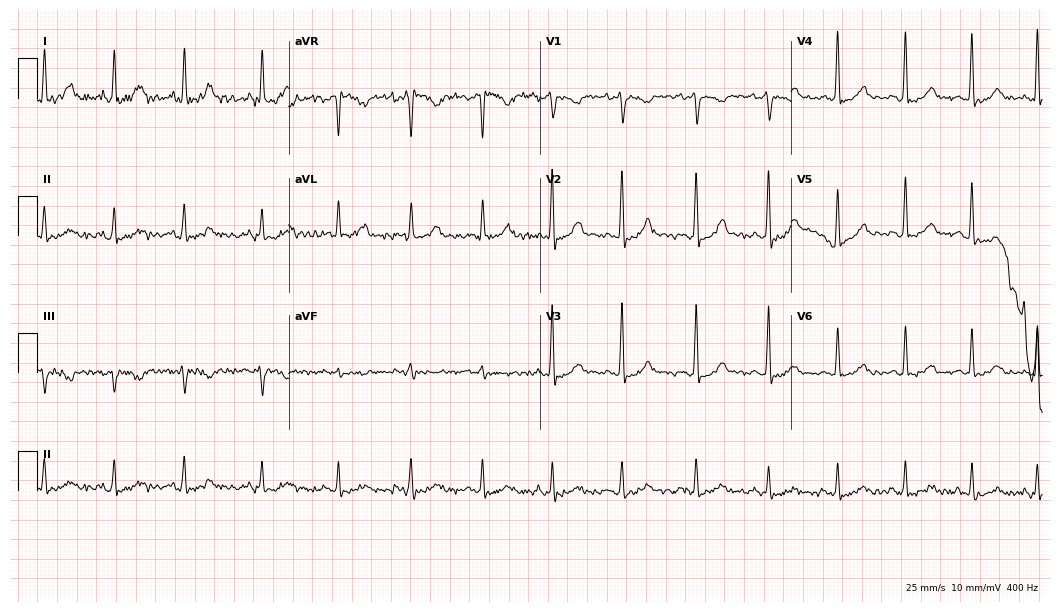
Electrocardiogram, a 40-year-old female. Overall reading on record: normal ECG.